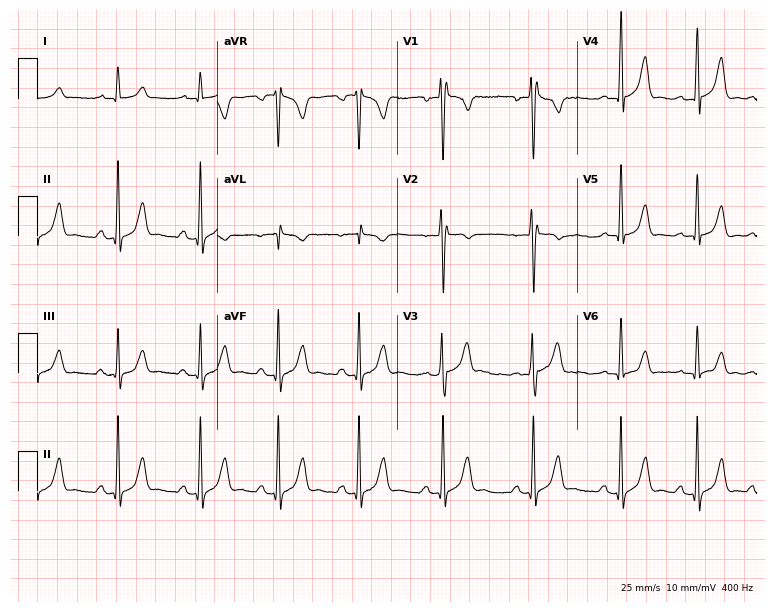
12-lead ECG (7.3-second recording at 400 Hz) from a male patient, 30 years old. Labelled as a normal ECG.